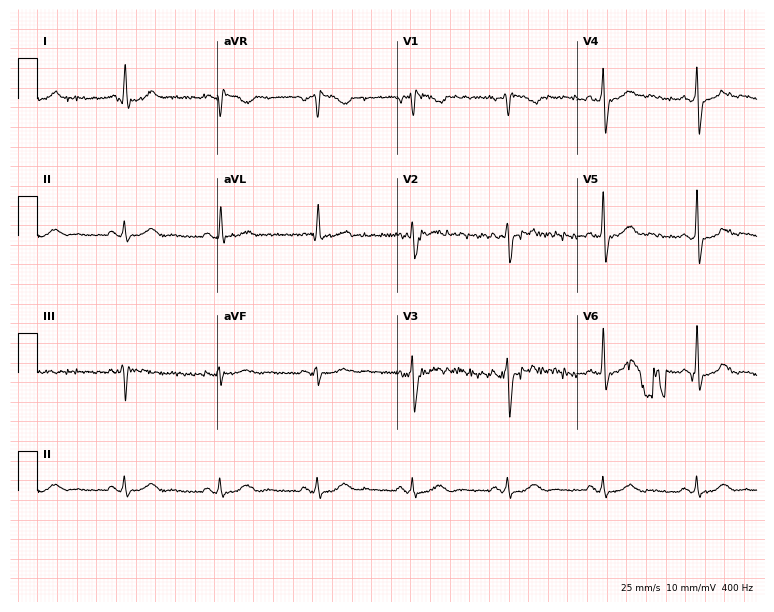
12-lead ECG from a male patient, 69 years old (7.3-second recording at 400 Hz). No first-degree AV block, right bundle branch block, left bundle branch block, sinus bradycardia, atrial fibrillation or sinus tachycardia recorded for this tracing.